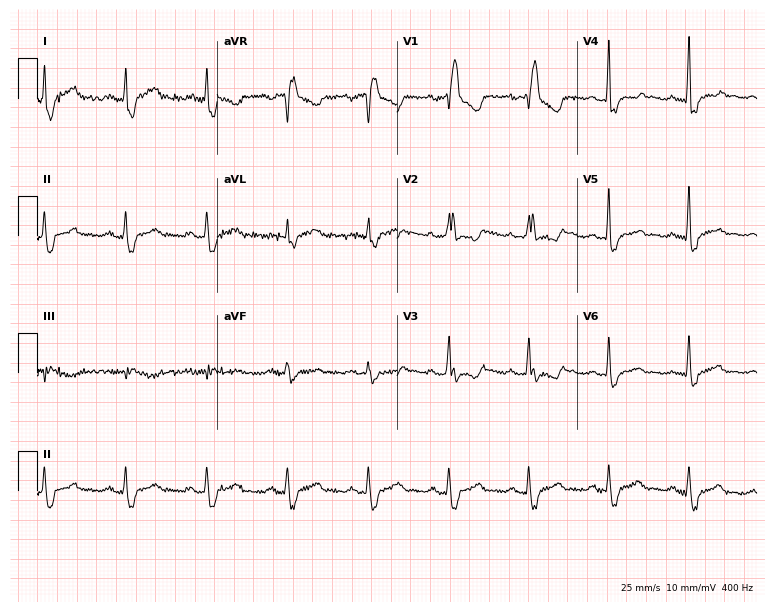
ECG — a man, 52 years old. Findings include right bundle branch block.